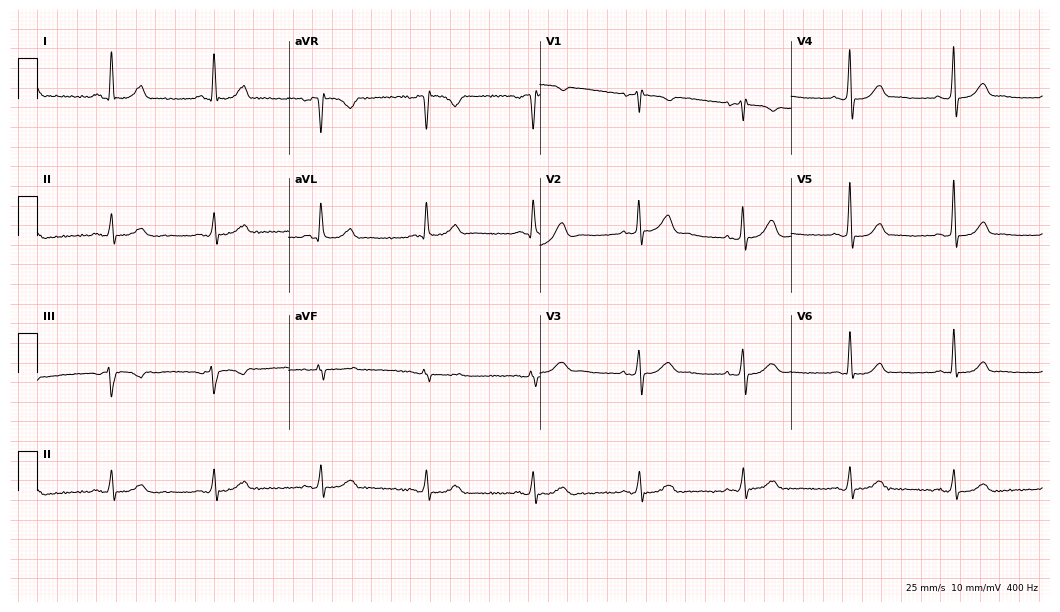
12-lead ECG from a female, 70 years old (10.2-second recording at 400 Hz). Recorded interpretation: within normal limits.